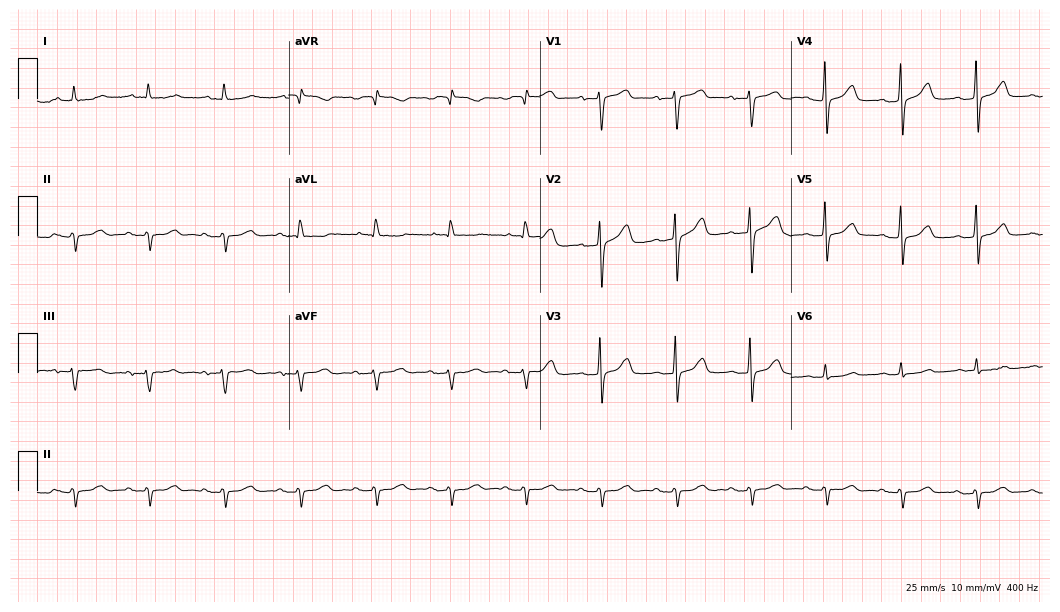
Electrocardiogram, a man, 64 years old. Of the six screened findings (first-degree AV block, right bundle branch block, left bundle branch block, sinus bradycardia, atrial fibrillation, sinus tachycardia), none is recorded.